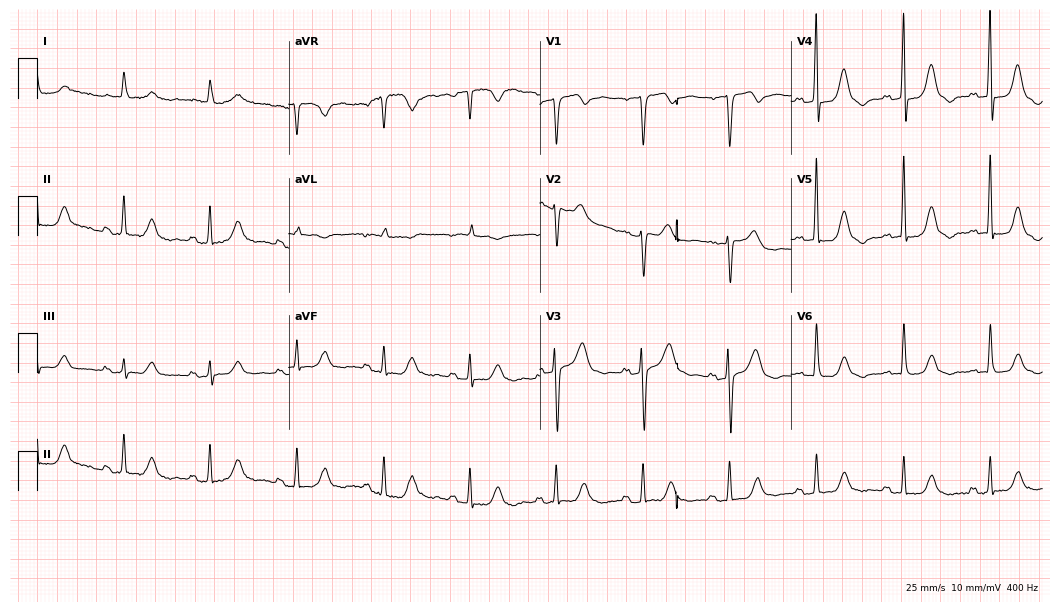
Resting 12-lead electrocardiogram (10.2-second recording at 400 Hz). Patient: a male, 82 years old. None of these six findings is recorded: first-degree AV block, right bundle branch block, left bundle branch block, sinus bradycardia, atrial fibrillation, sinus tachycardia.